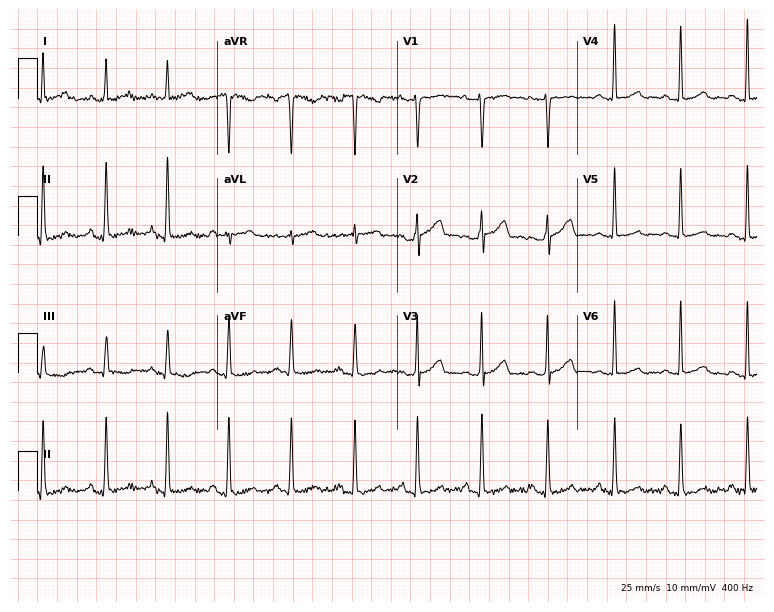
12-lead ECG (7.3-second recording at 400 Hz) from a female, 41 years old. Screened for six findings — first-degree AV block, right bundle branch block, left bundle branch block, sinus bradycardia, atrial fibrillation, sinus tachycardia — none is recorded.